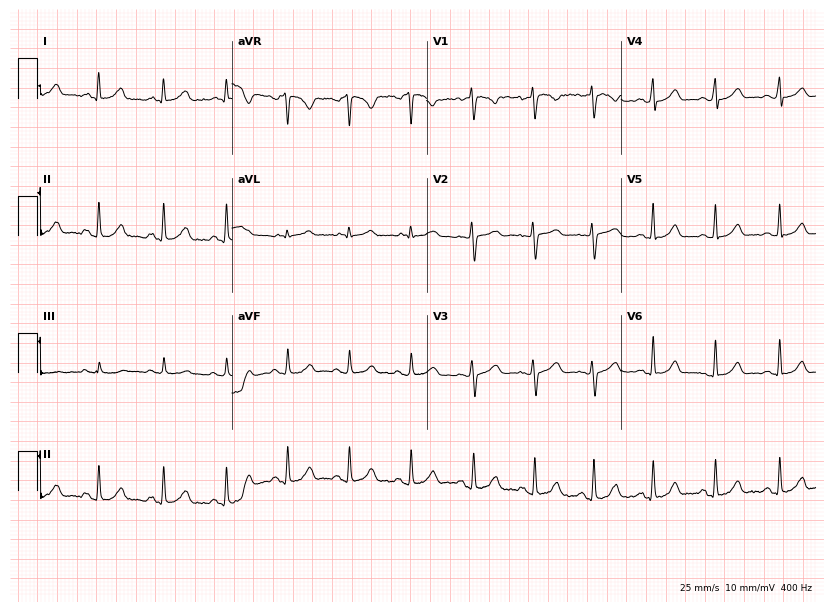
Resting 12-lead electrocardiogram. Patient: a 34-year-old female. Read as a normal ECG.